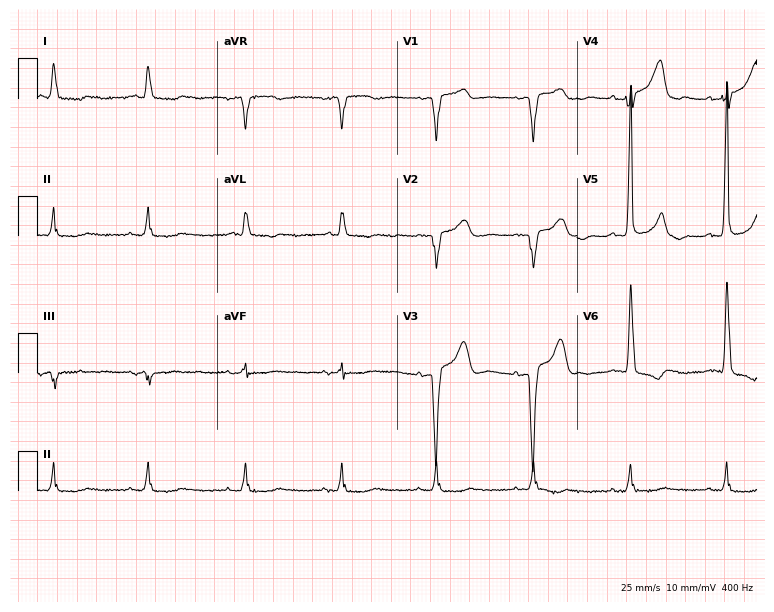
Resting 12-lead electrocardiogram. Patient: a 72-year-old man. None of these six findings is recorded: first-degree AV block, right bundle branch block (RBBB), left bundle branch block (LBBB), sinus bradycardia, atrial fibrillation (AF), sinus tachycardia. Only these six findings were labelled.